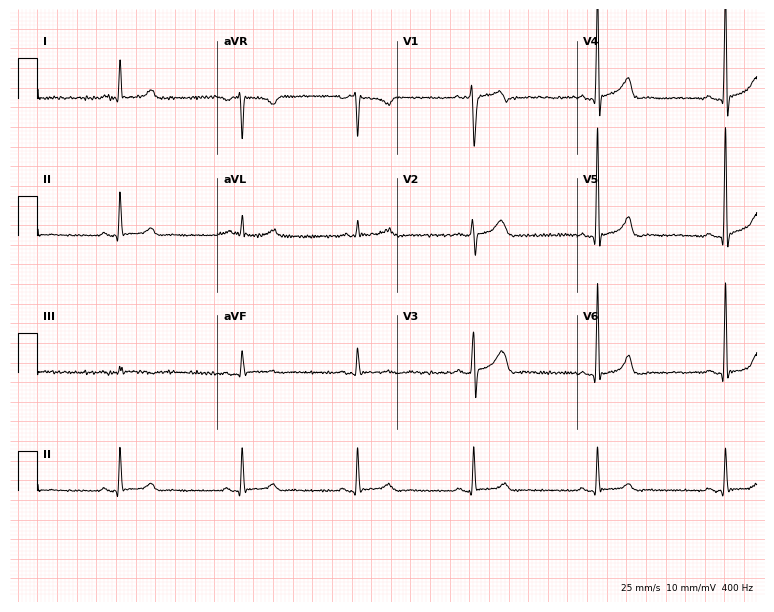
Resting 12-lead electrocardiogram (7.3-second recording at 400 Hz). Patient: a male, 46 years old. The tracing shows sinus bradycardia (a sinus rate of 50 beats per minute or less).